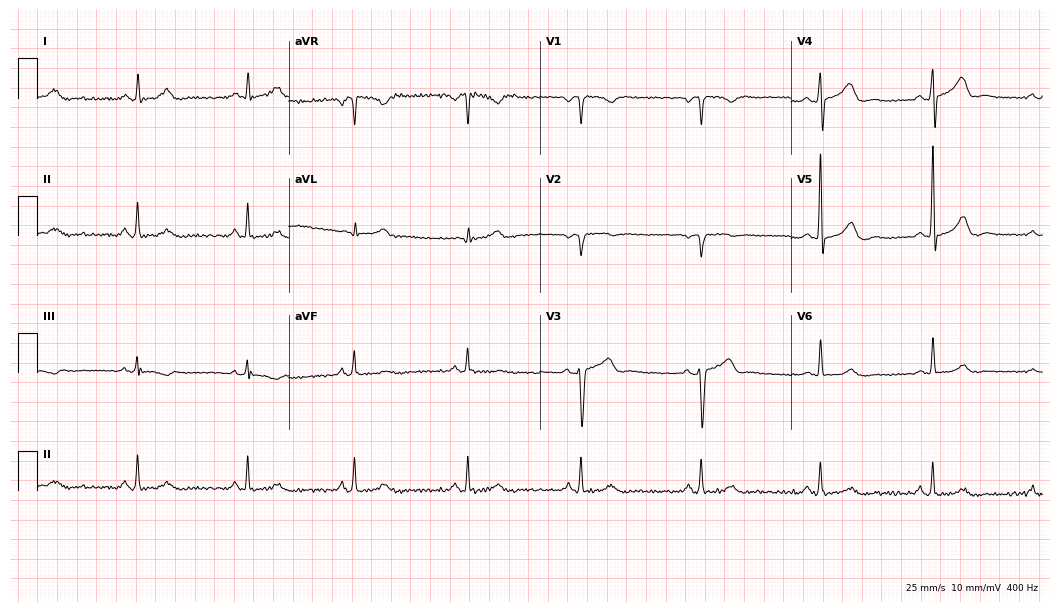
12-lead ECG from a 45-year-old female patient (10.2-second recording at 400 Hz). Recorded interpretation: within normal limits.